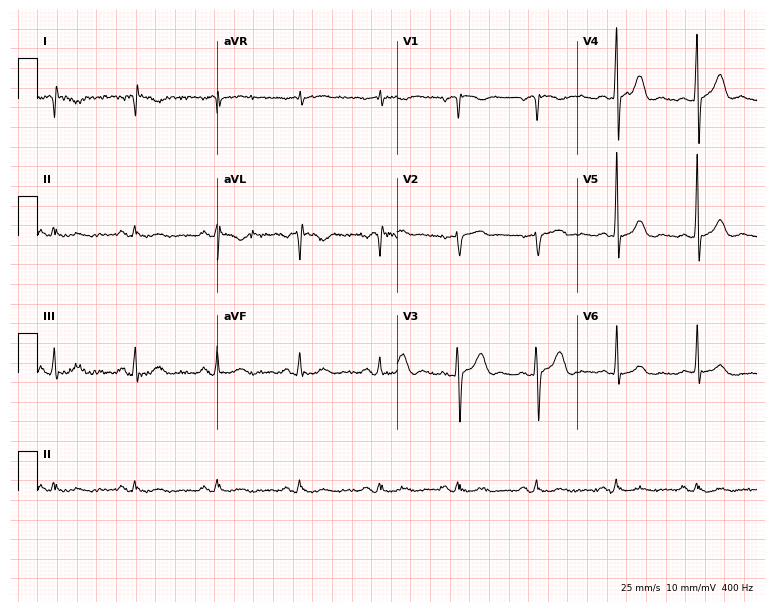
Electrocardiogram (7.3-second recording at 400 Hz), a 66-year-old male. Of the six screened findings (first-degree AV block, right bundle branch block, left bundle branch block, sinus bradycardia, atrial fibrillation, sinus tachycardia), none is recorded.